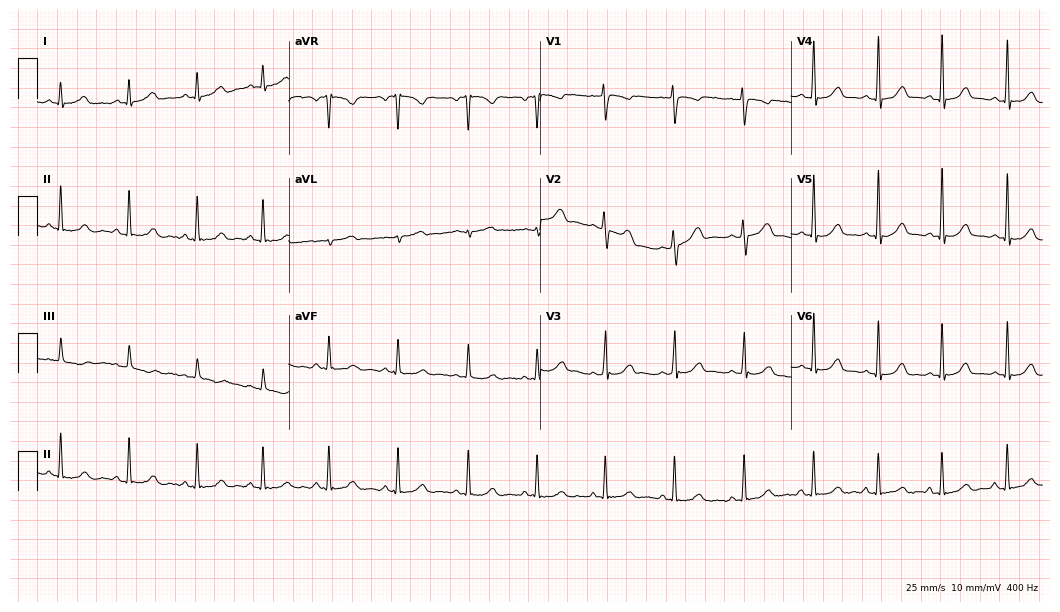
ECG — a 29-year-old female. Labelled as a normal ECG.